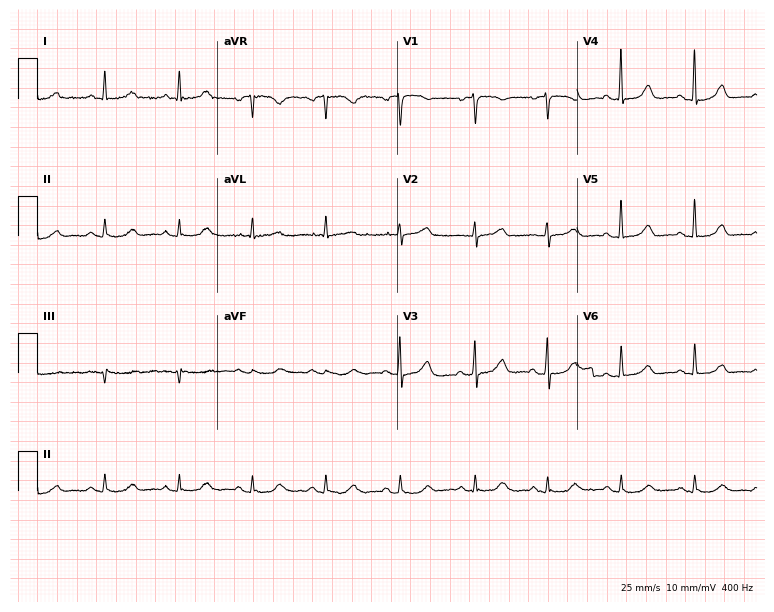
ECG — a woman, 69 years old. Labelled as a normal ECG.